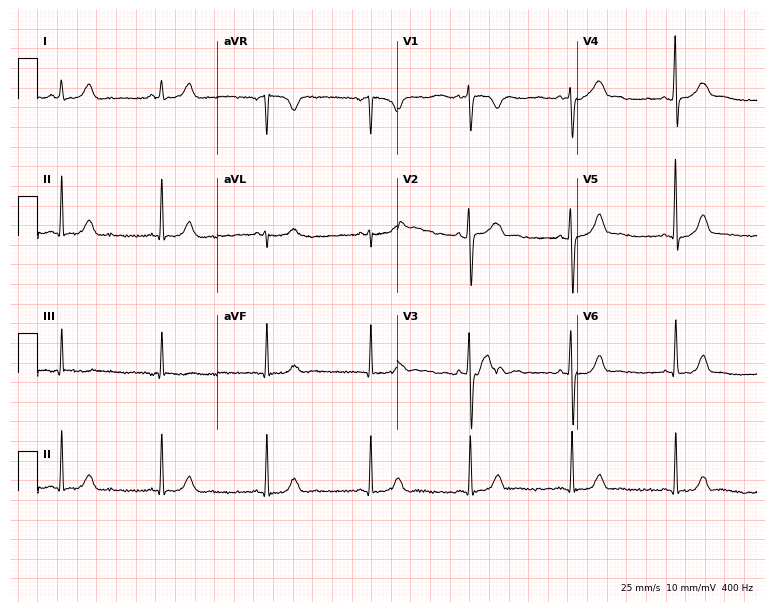
ECG — a 20-year-old woman. Screened for six findings — first-degree AV block, right bundle branch block (RBBB), left bundle branch block (LBBB), sinus bradycardia, atrial fibrillation (AF), sinus tachycardia — none is recorded.